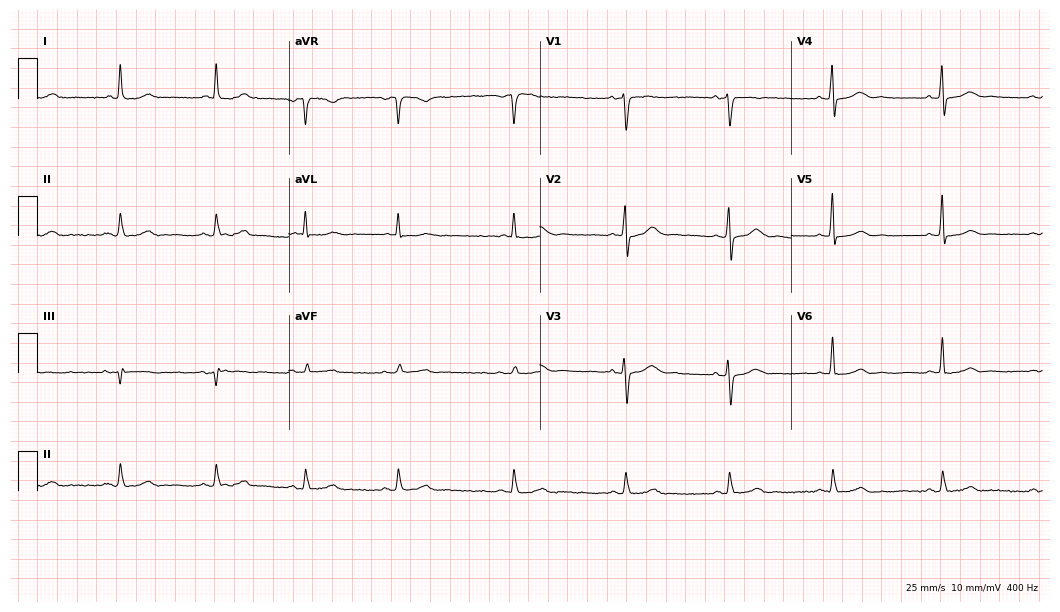
12-lead ECG from a 50-year-old woman. Labelled as a normal ECG.